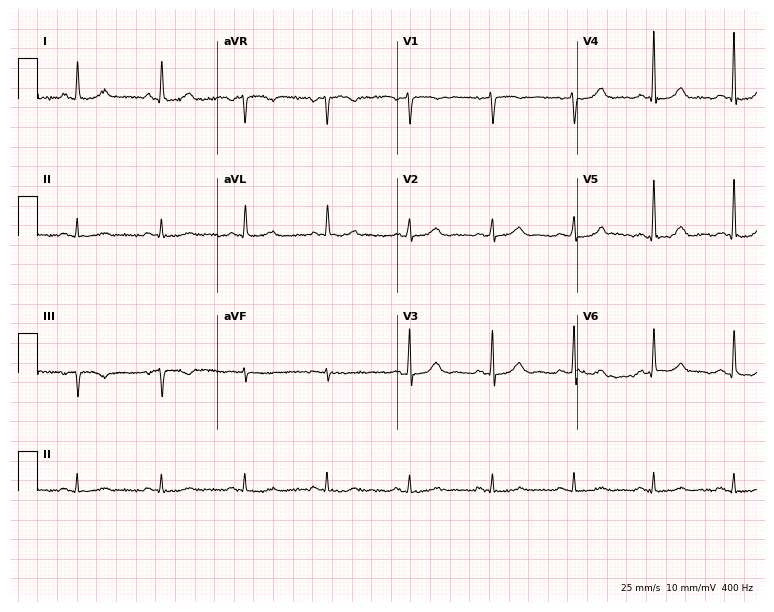
12-lead ECG (7.3-second recording at 400 Hz) from a female, 53 years old. Screened for six findings — first-degree AV block, right bundle branch block, left bundle branch block, sinus bradycardia, atrial fibrillation, sinus tachycardia — none is recorded. Findings outside these six are not listed.